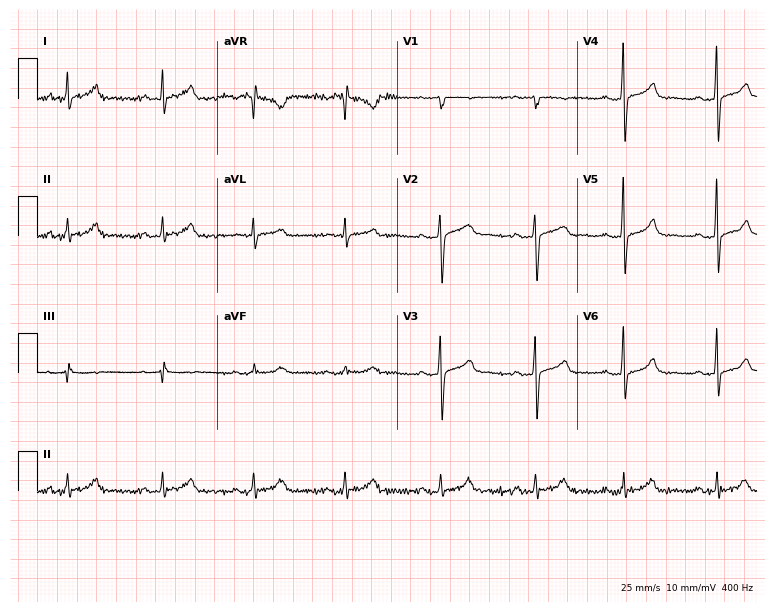
12-lead ECG from a 40-year-old female patient (7.3-second recording at 400 Hz). Recorded interpretation: within normal limits.